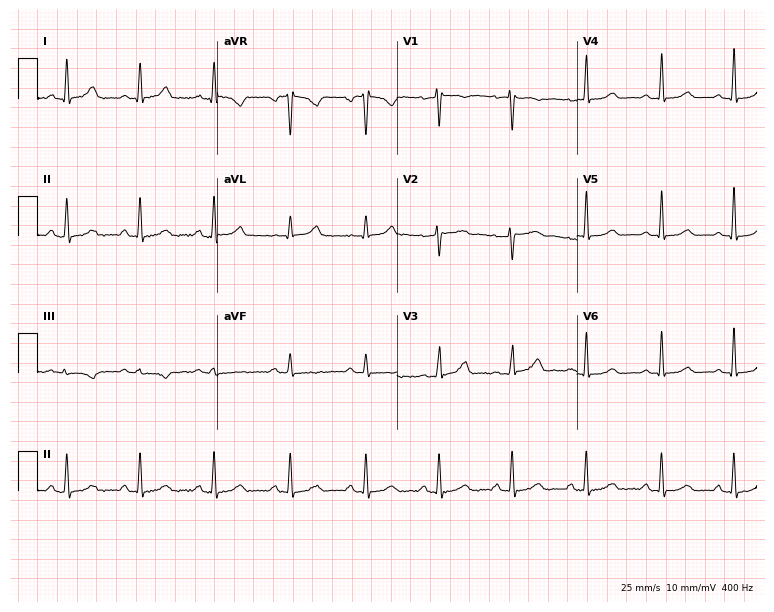
ECG — a female patient, 29 years old. Screened for six findings — first-degree AV block, right bundle branch block, left bundle branch block, sinus bradycardia, atrial fibrillation, sinus tachycardia — none is recorded. Only these six findings were labelled.